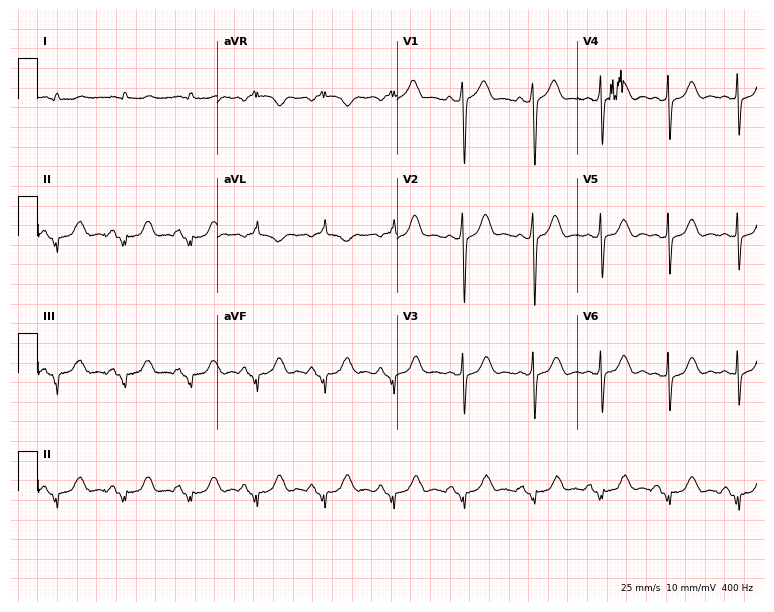
12-lead ECG (7.3-second recording at 400 Hz) from a 61-year-old male patient. Screened for six findings — first-degree AV block, right bundle branch block, left bundle branch block, sinus bradycardia, atrial fibrillation, sinus tachycardia — none is recorded.